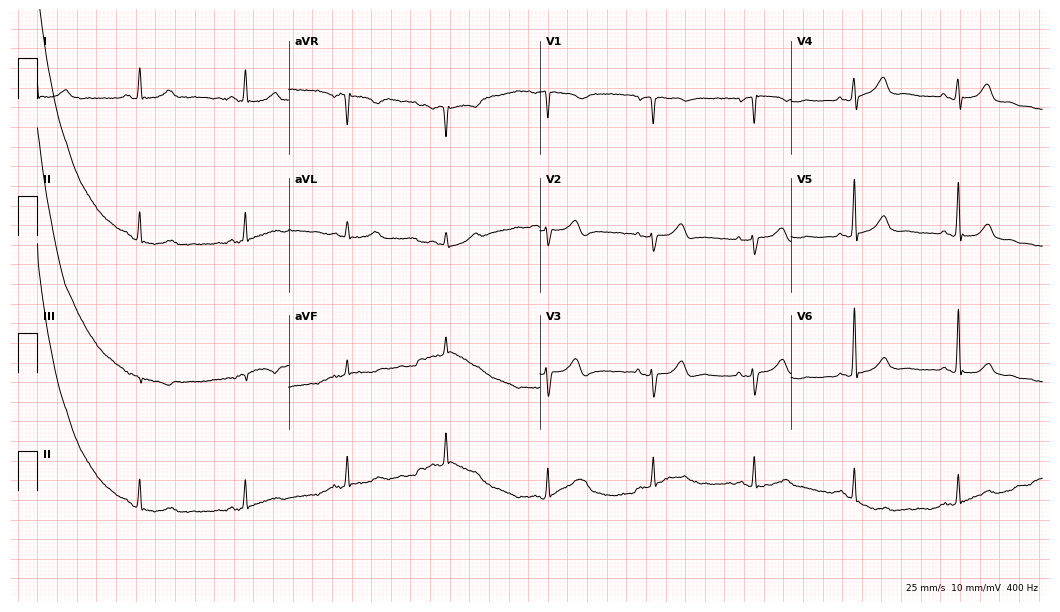
Standard 12-lead ECG recorded from a 78-year-old female (10.2-second recording at 400 Hz). Read as a normal ECG.